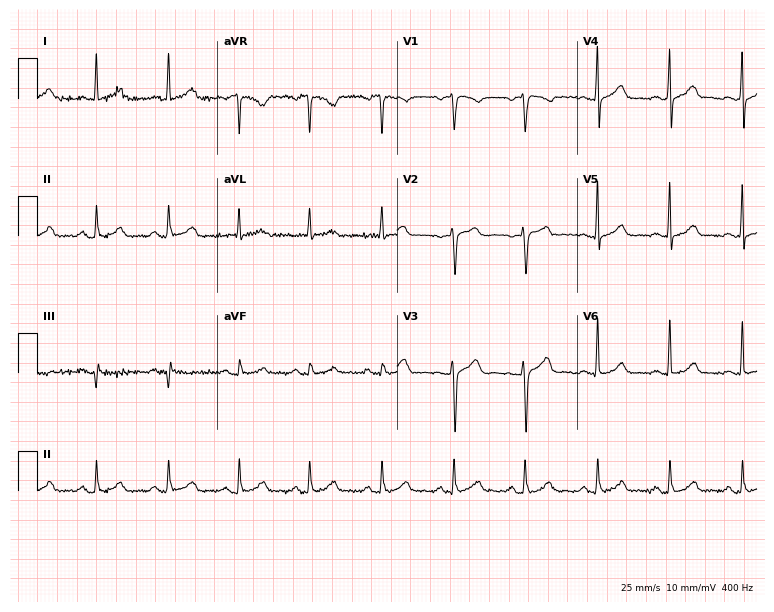
Electrocardiogram (7.3-second recording at 400 Hz), a 65-year-old woman. Overall reading on record: normal ECG.